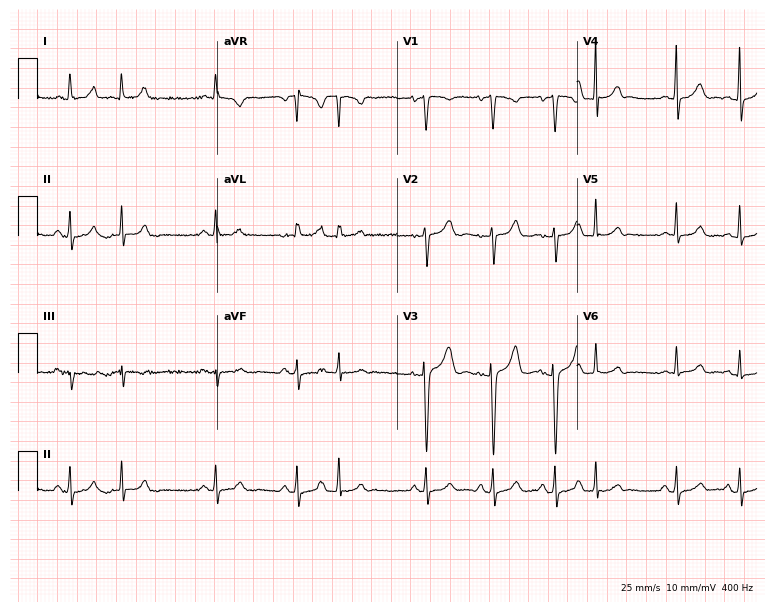
12-lead ECG (7.3-second recording at 400 Hz) from a 25-year-old female. Screened for six findings — first-degree AV block, right bundle branch block, left bundle branch block, sinus bradycardia, atrial fibrillation, sinus tachycardia — none is recorded.